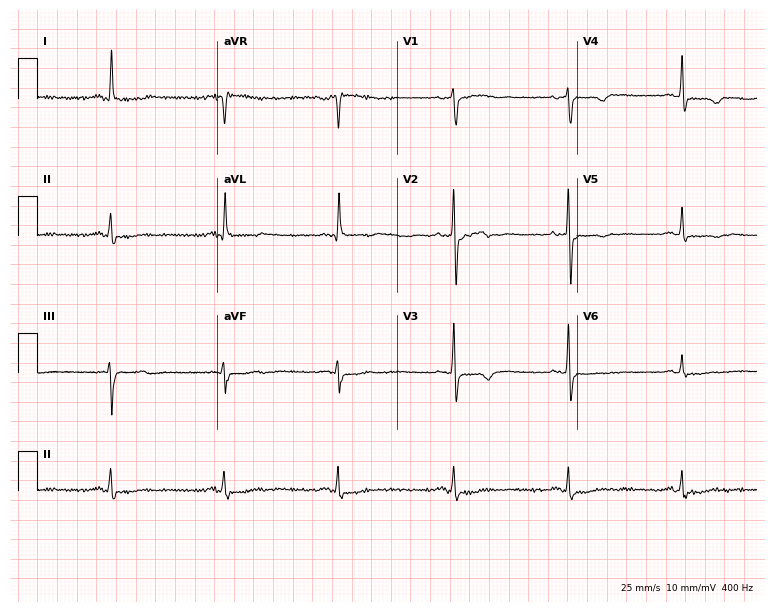
Electrocardiogram, a 65-year-old male. Overall reading on record: normal ECG.